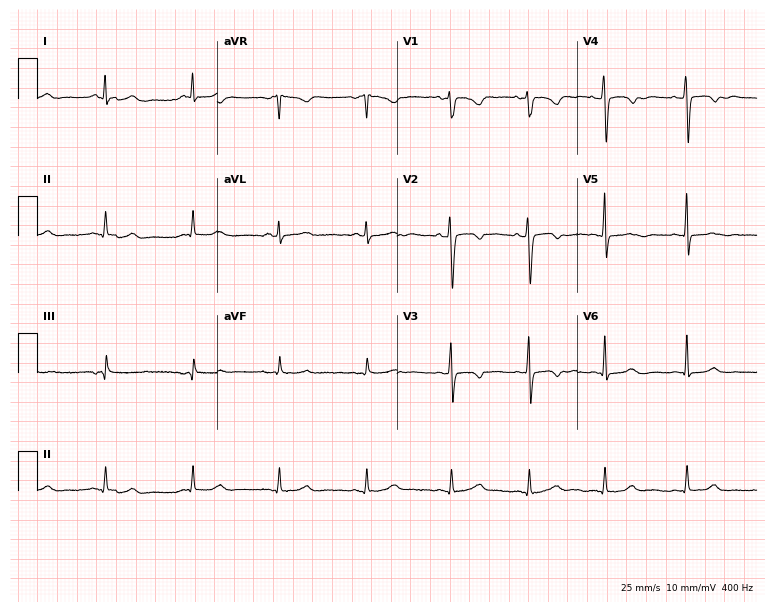
12-lead ECG (7.3-second recording at 400 Hz) from a 26-year-old female patient. Screened for six findings — first-degree AV block, right bundle branch block, left bundle branch block, sinus bradycardia, atrial fibrillation, sinus tachycardia — none is recorded. Other findings, if any, are not listed.